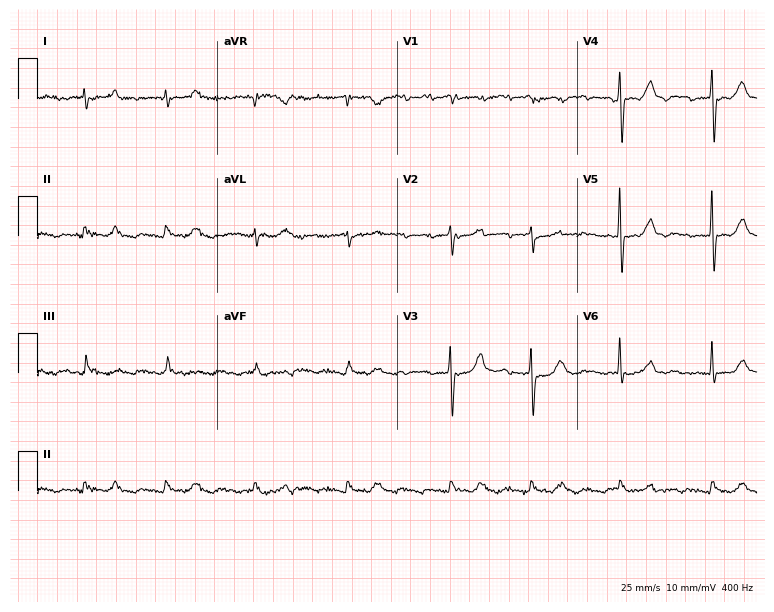
12-lead ECG from a woman, 83 years old. Recorded interpretation: within normal limits.